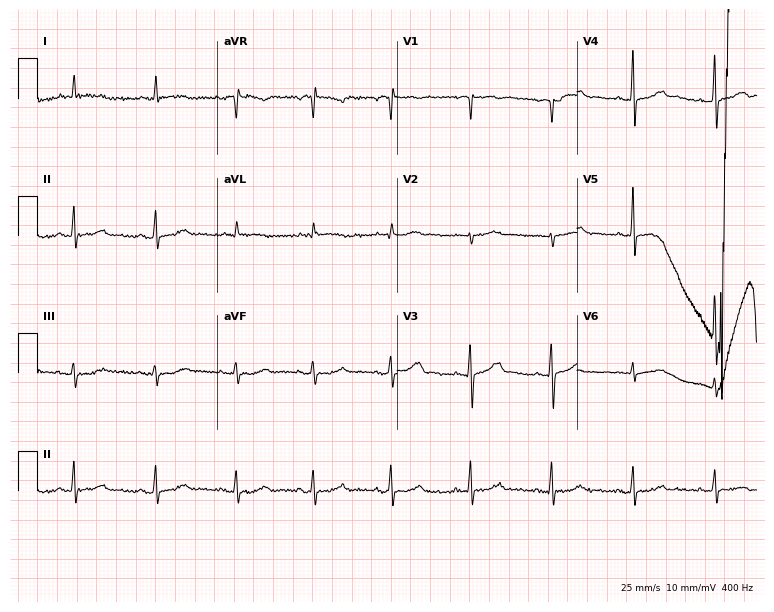
12-lead ECG from a female patient, 72 years old (7.3-second recording at 400 Hz). Recorded interpretation: within normal limits.